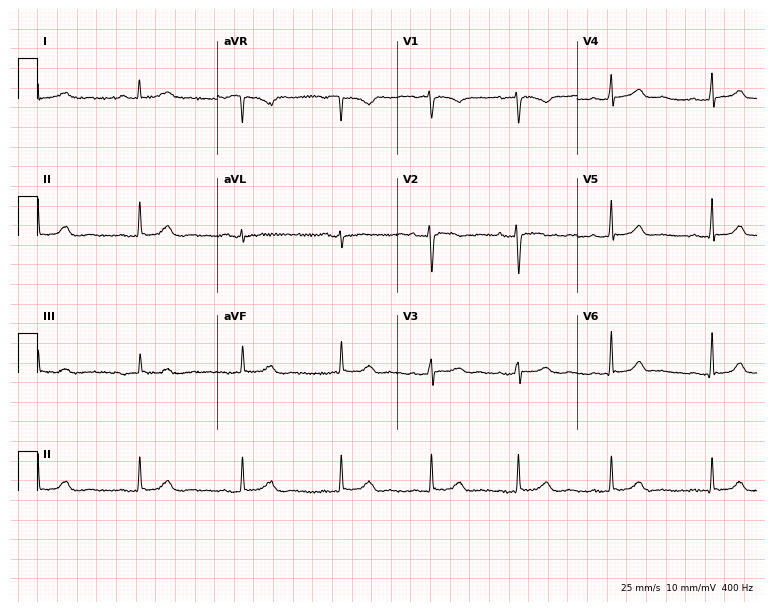
Standard 12-lead ECG recorded from a female, 46 years old (7.3-second recording at 400 Hz). None of these six findings is recorded: first-degree AV block, right bundle branch block, left bundle branch block, sinus bradycardia, atrial fibrillation, sinus tachycardia. Other findings, if any, are not listed.